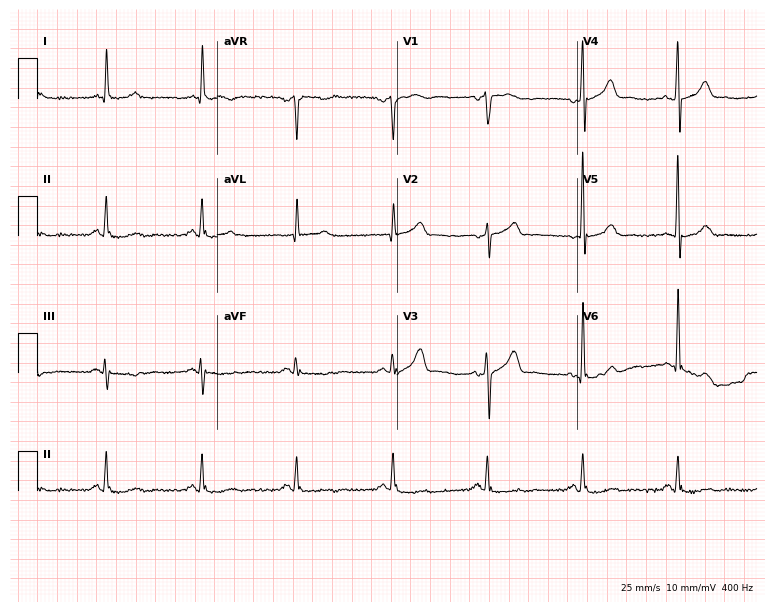
Standard 12-lead ECG recorded from a male patient, 69 years old (7.3-second recording at 400 Hz). None of these six findings is recorded: first-degree AV block, right bundle branch block, left bundle branch block, sinus bradycardia, atrial fibrillation, sinus tachycardia.